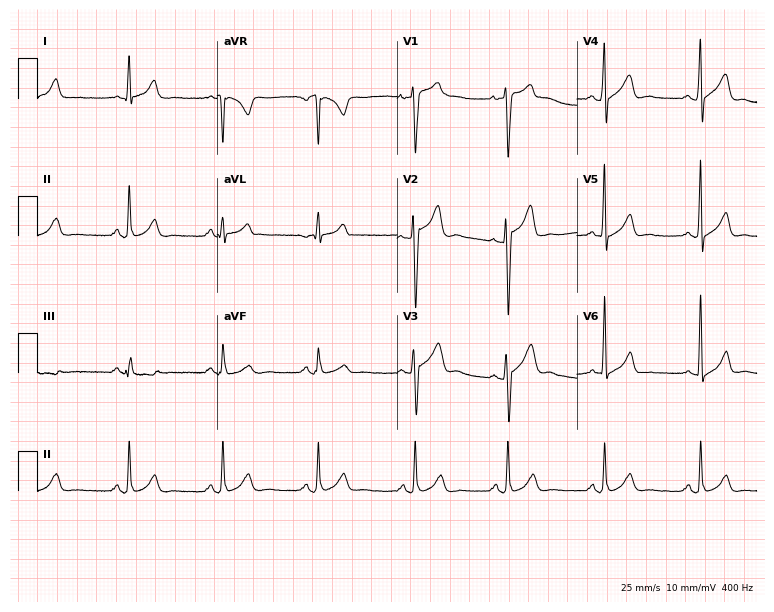
12-lead ECG from a male, 31 years old. Recorded interpretation: within normal limits.